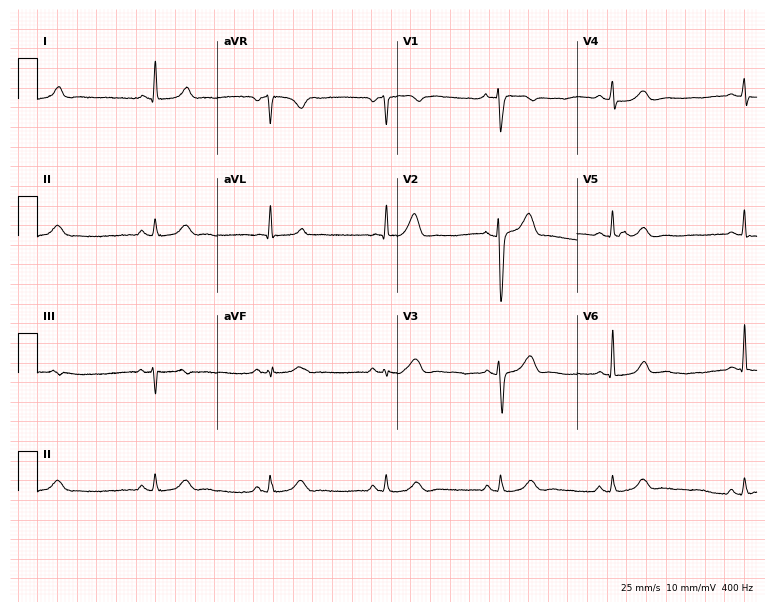
12-lead ECG from a 50-year-old woman. No first-degree AV block, right bundle branch block, left bundle branch block, sinus bradycardia, atrial fibrillation or sinus tachycardia recorded for this tracing. Other findings, if any, are not listed.